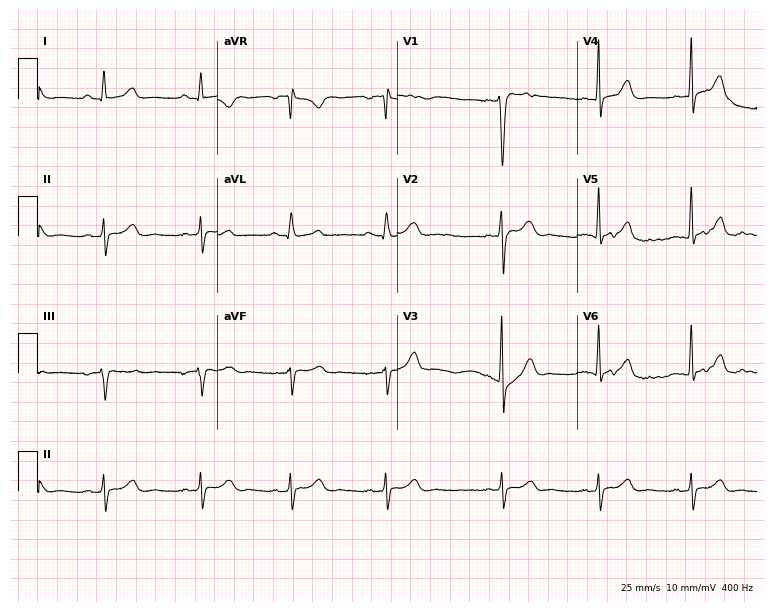
ECG (7.3-second recording at 400 Hz) — a 27-year-old female patient. Screened for six findings — first-degree AV block, right bundle branch block (RBBB), left bundle branch block (LBBB), sinus bradycardia, atrial fibrillation (AF), sinus tachycardia — none is recorded.